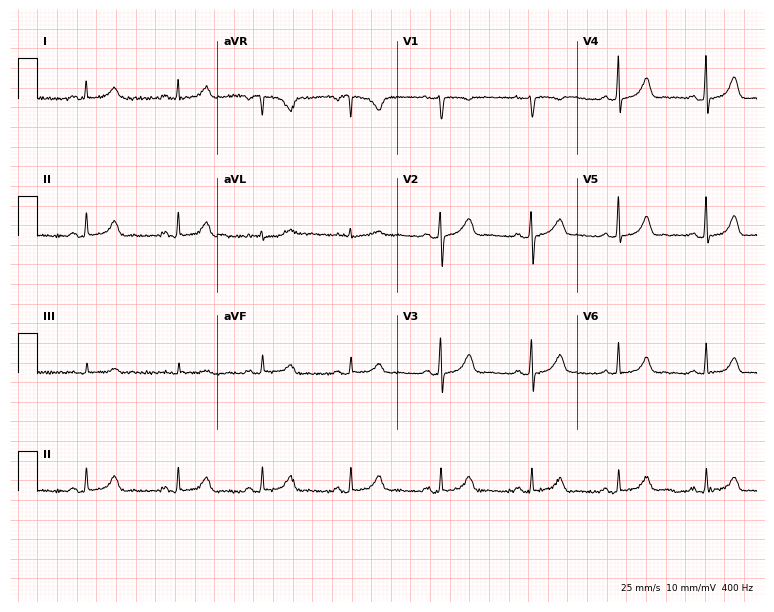
Electrocardiogram (7.3-second recording at 400 Hz), a 48-year-old female patient. Of the six screened findings (first-degree AV block, right bundle branch block, left bundle branch block, sinus bradycardia, atrial fibrillation, sinus tachycardia), none is recorded.